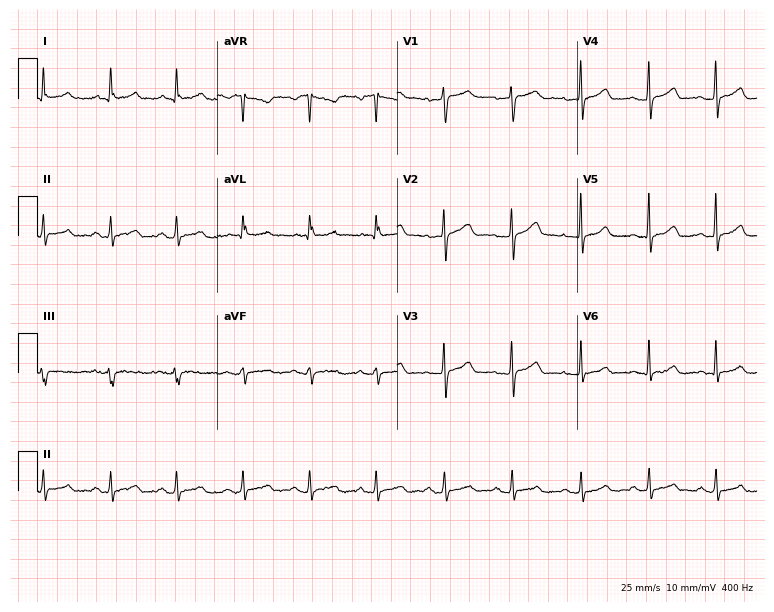
Resting 12-lead electrocardiogram (7.3-second recording at 400 Hz). Patient: a 48-year-old female. Read as a normal ECG.